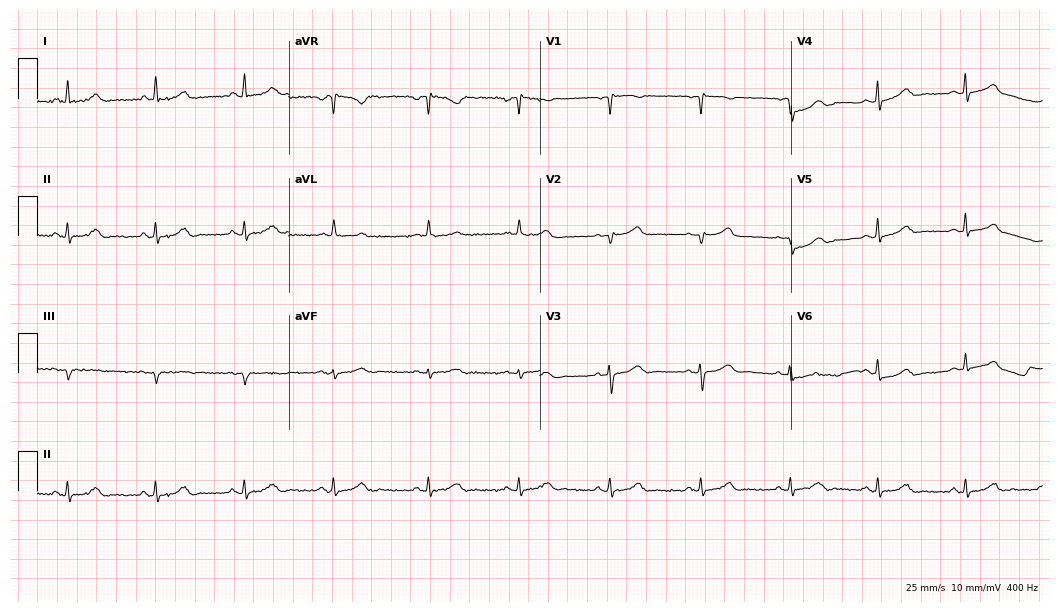
Electrocardiogram (10.2-second recording at 400 Hz), a woman, 70 years old. Overall reading on record: normal ECG.